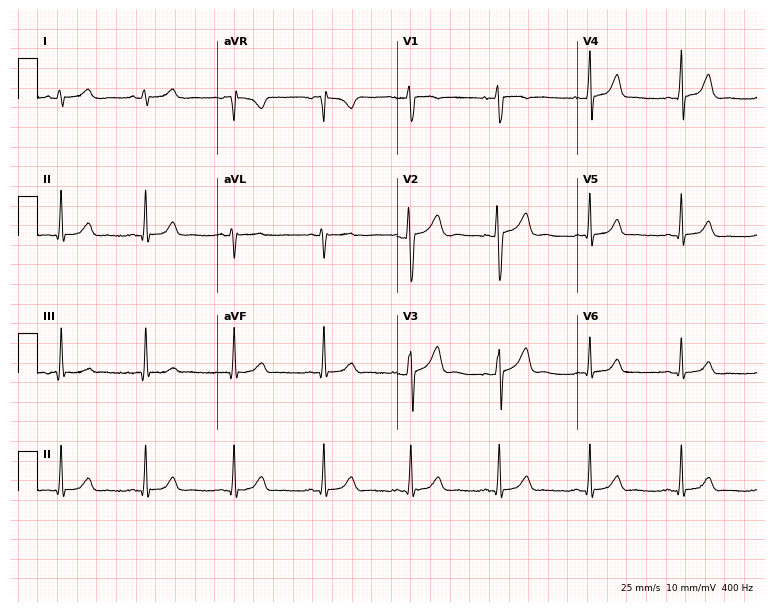
12-lead ECG (7.3-second recording at 400 Hz) from a 32-year-old female. Labelled as a normal ECG.